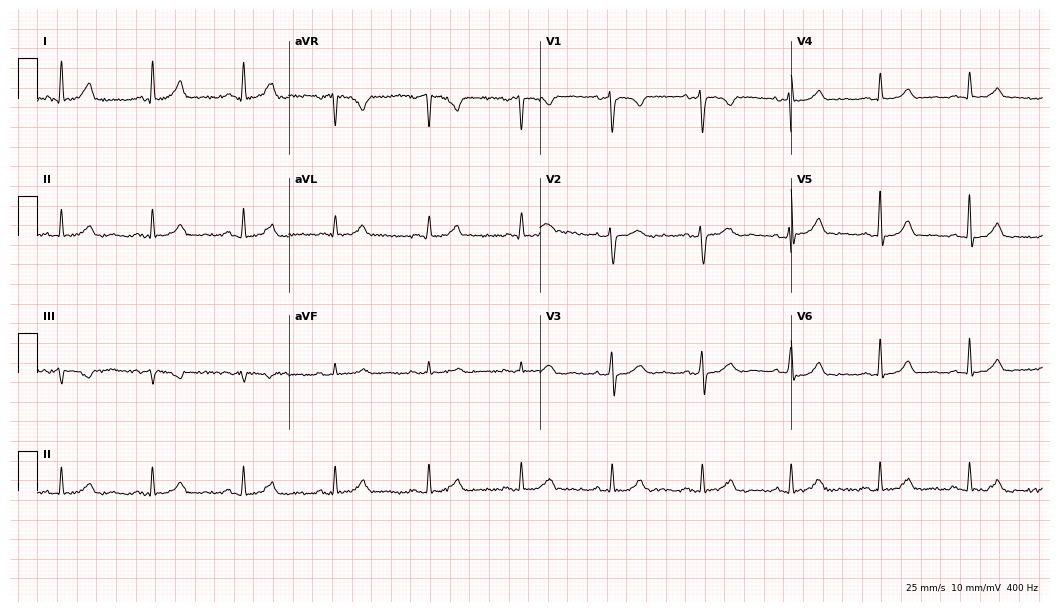
Electrocardiogram, a 49-year-old woman. Of the six screened findings (first-degree AV block, right bundle branch block, left bundle branch block, sinus bradycardia, atrial fibrillation, sinus tachycardia), none is recorded. Only these six findings were labelled.